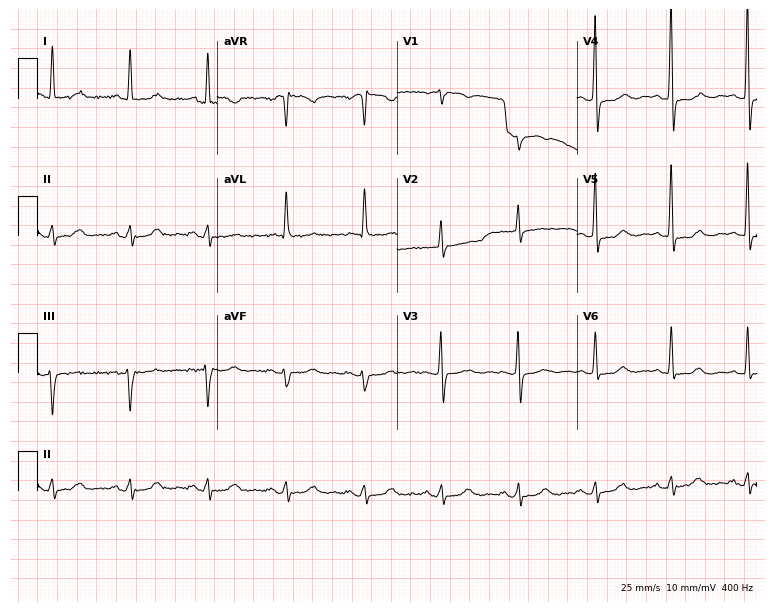
12-lead ECG from a 78-year-old female patient. No first-degree AV block, right bundle branch block, left bundle branch block, sinus bradycardia, atrial fibrillation or sinus tachycardia recorded for this tracing. Findings outside these six are not listed.